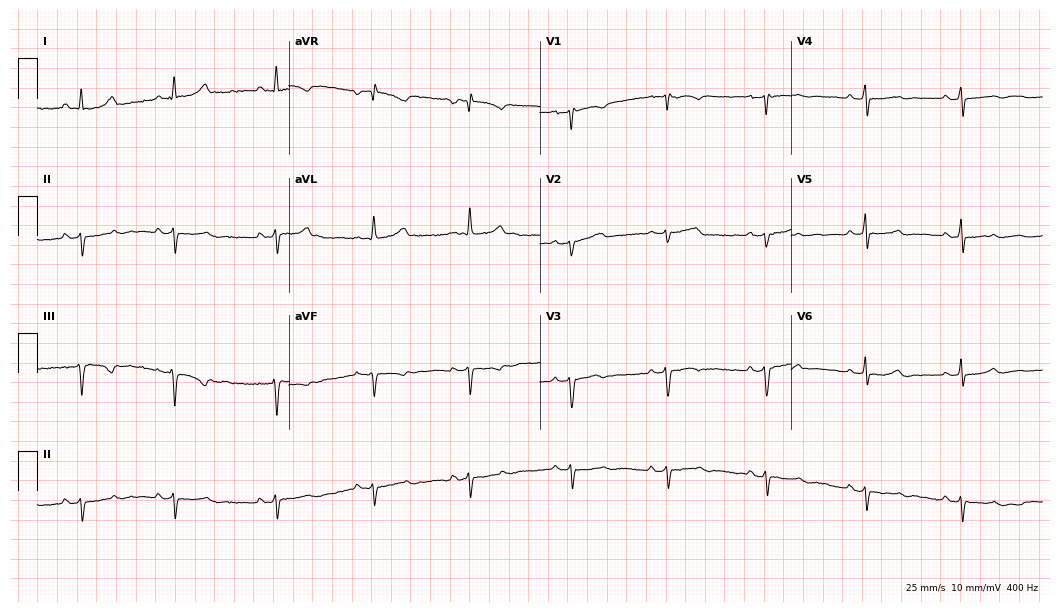
Resting 12-lead electrocardiogram. Patient: a 45-year-old woman. None of these six findings is recorded: first-degree AV block, right bundle branch block, left bundle branch block, sinus bradycardia, atrial fibrillation, sinus tachycardia. Other findings, if any, are not listed.